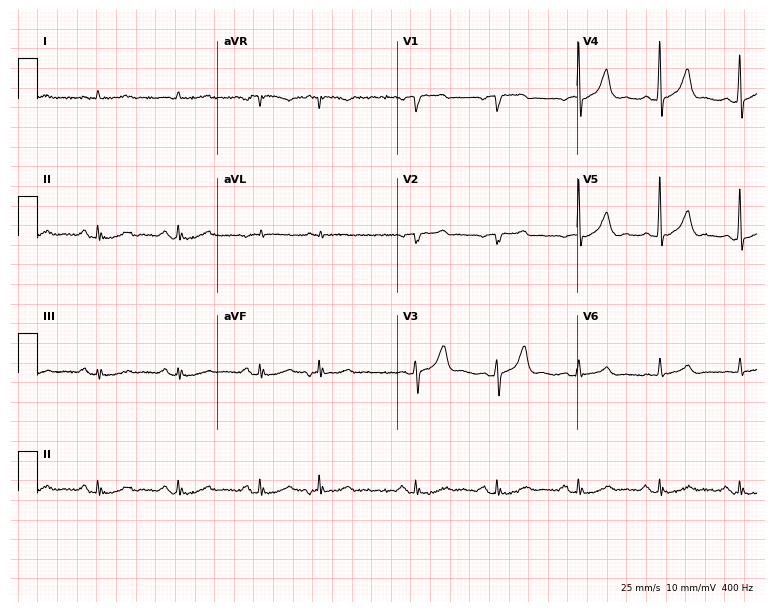
12-lead ECG from an 85-year-old male patient. Screened for six findings — first-degree AV block, right bundle branch block (RBBB), left bundle branch block (LBBB), sinus bradycardia, atrial fibrillation (AF), sinus tachycardia — none is recorded. Other findings, if any, are not listed.